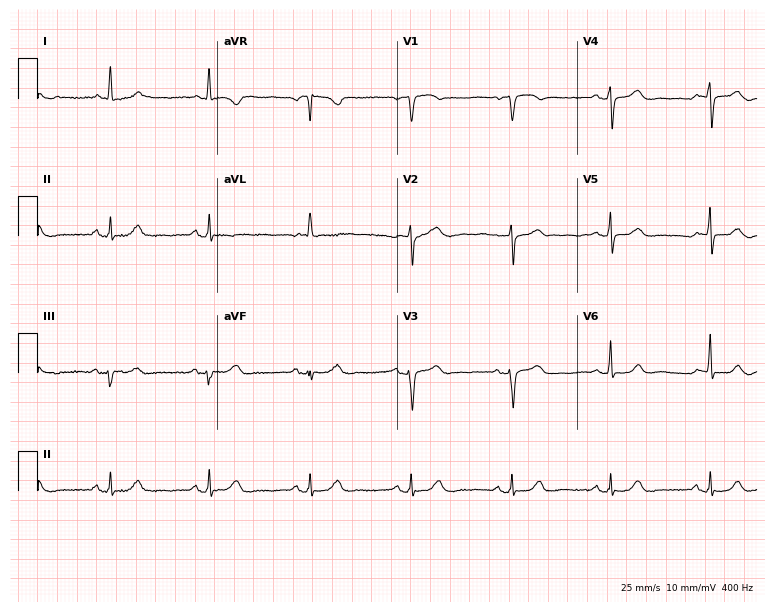
Standard 12-lead ECG recorded from a woman, 79 years old. Read as a normal ECG.